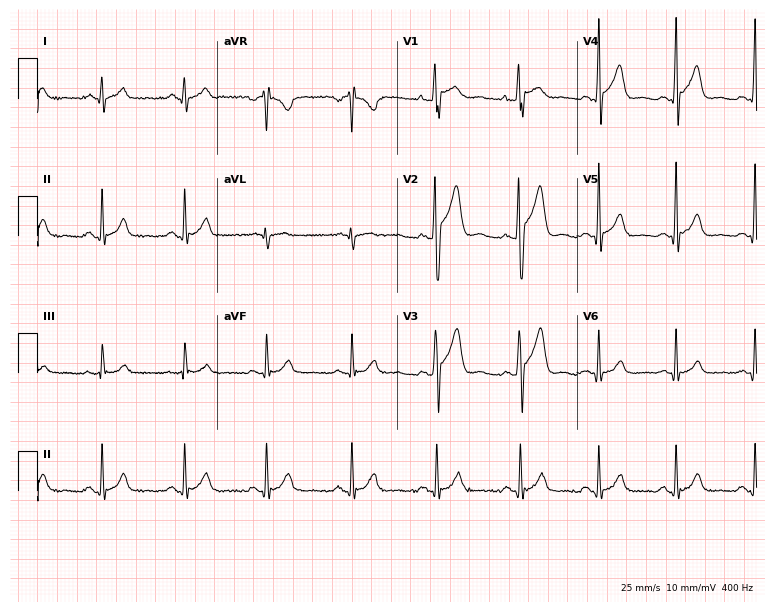
Electrocardiogram (7.3-second recording at 400 Hz), a man, 26 years old. Of the six screened findings (first-degree AV block, right bundle branch block, left bundle branch block, sinus bradycardia, atrial fibrillation, sinus tachycardia), none is recorded. Findings outside these six are not listed.